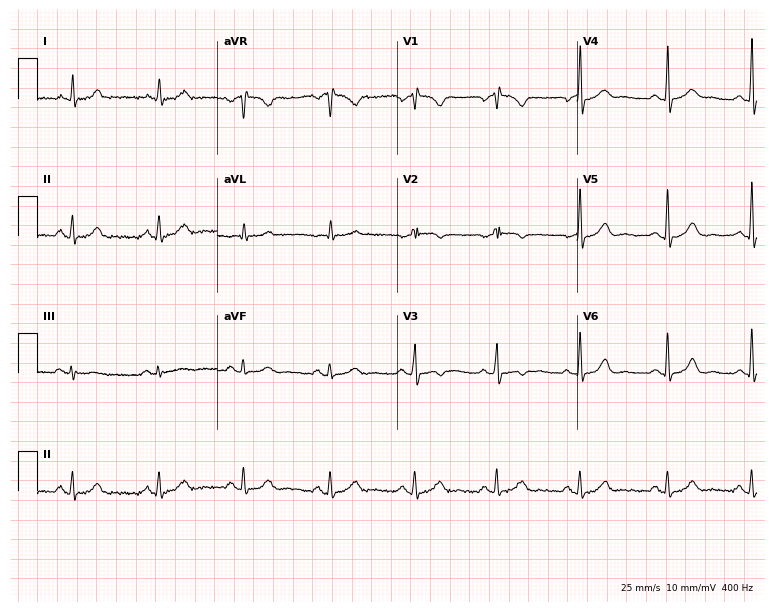
Electrocardiogram (7.3-second recording at 400 Hz), a 56-year-old male. Of the six screened findings (first-degree AV block, right bundle branch block, left bundle branch block, sinus bradycardia, atrial fibrillation, sinus tachycardia), none is recorded. Only these six findings were labelled.